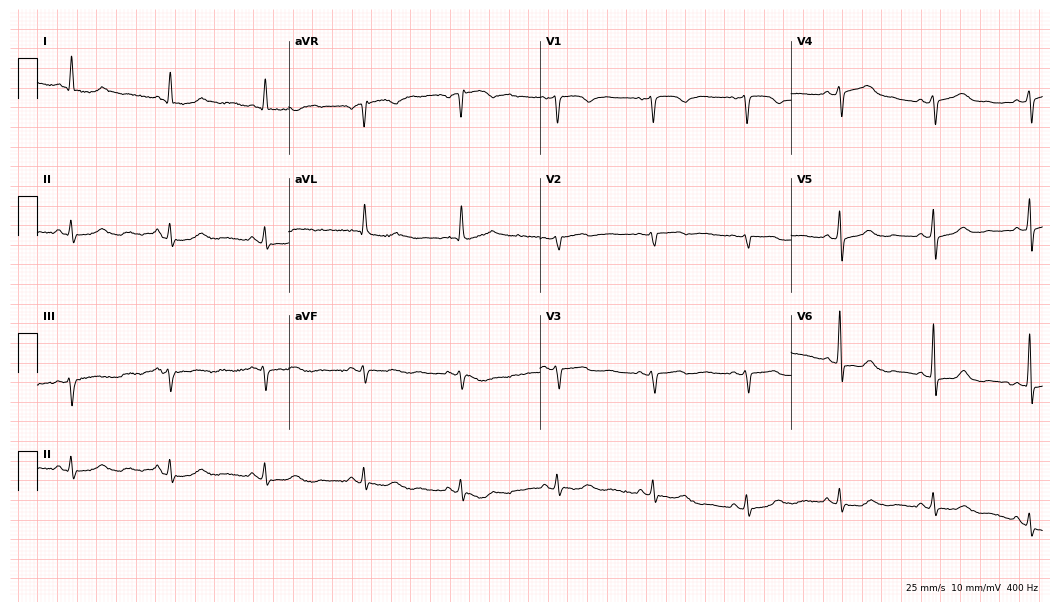
Standard 12-lead ECG recorded from a 78-year-old female (10.2-second recording at 400 Hz). Read as a normal ECG.